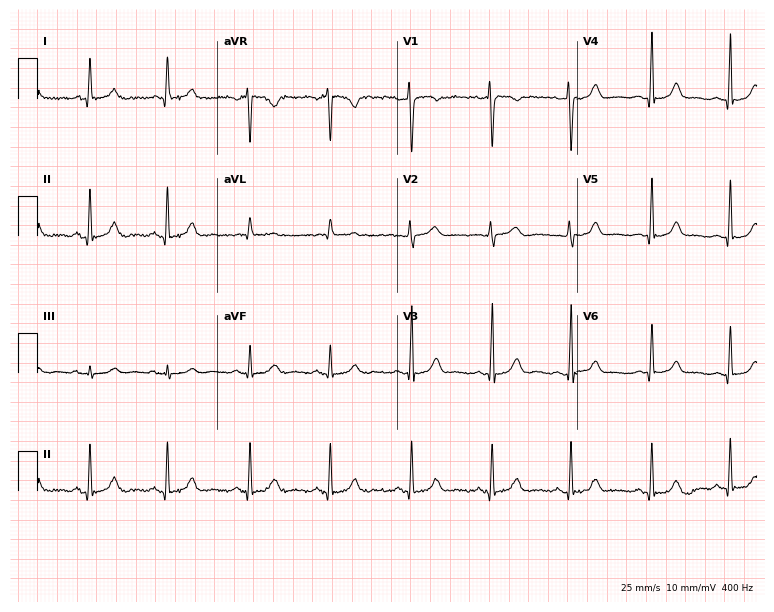
ECG (7.3-second recording at 400 Hz) — a 32-year-old woman. Labelled as a normal ECG.